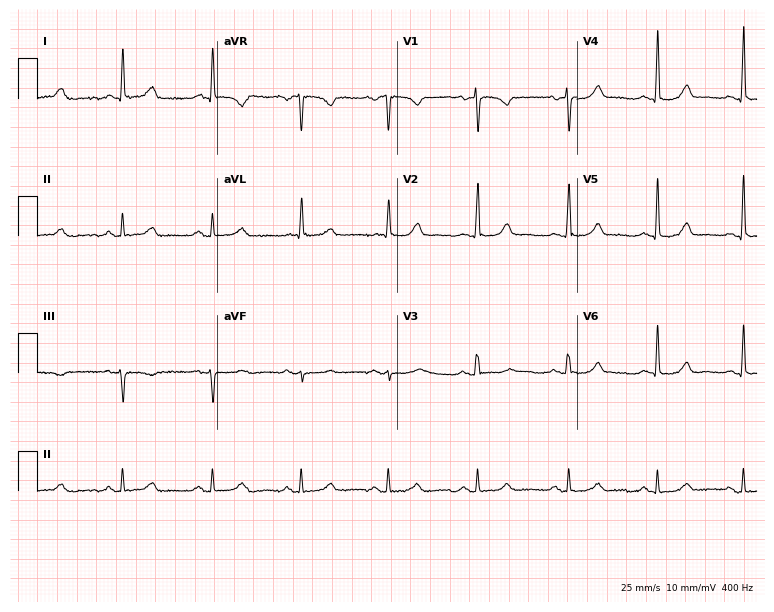
12-lead ECG from a 58-year-old woman (7.3-second recording at 400 Hz). Recorded interpretation: within normal limits.